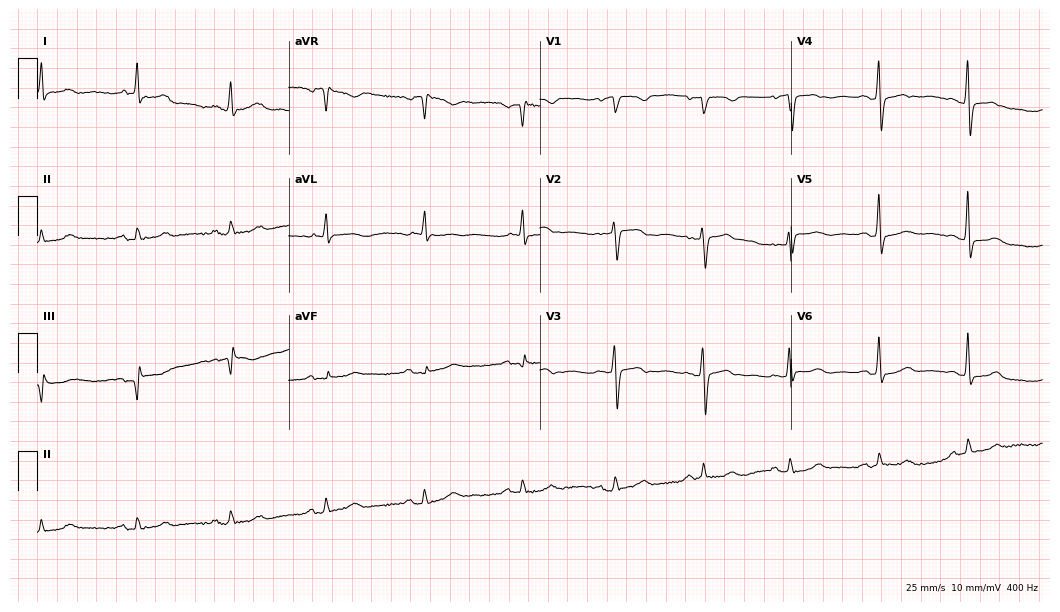
12-lead ECG from a 54-year-old female. Labelled as a normal ECG.